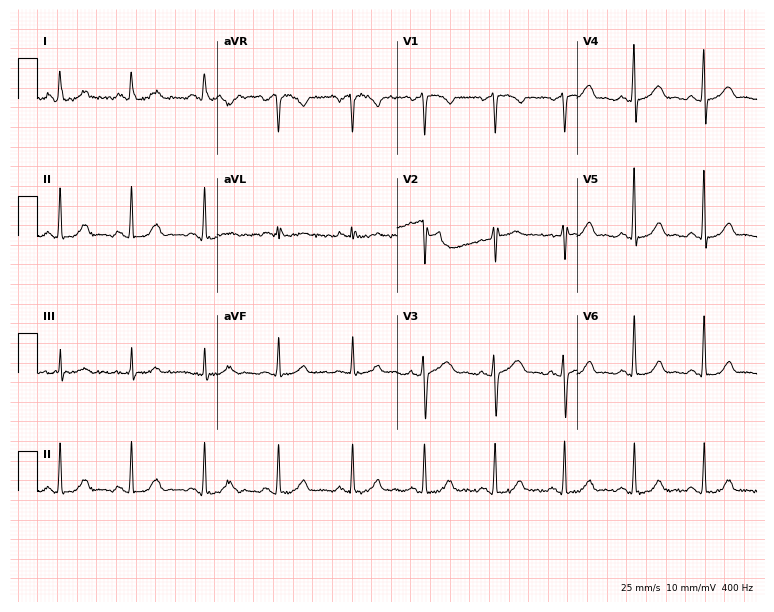
ECG — a 30-year-old woman. Labelled as a normal ECG.